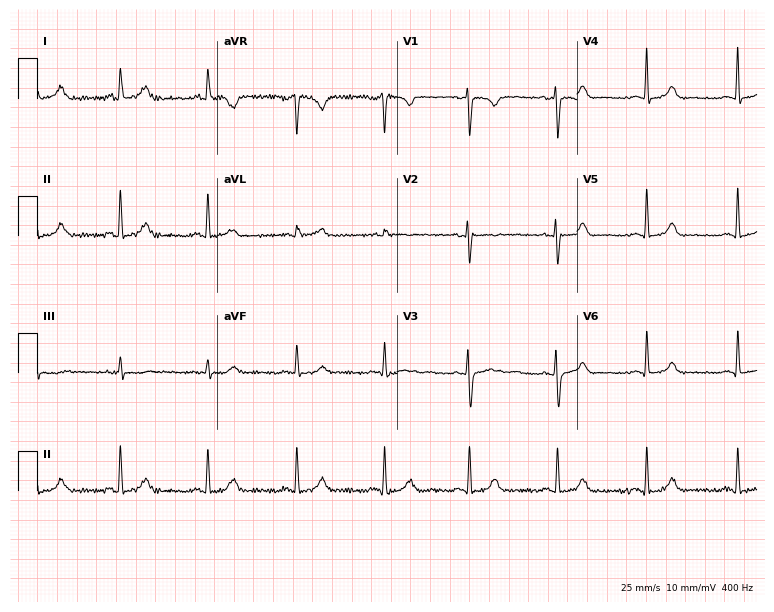
Resting 12-lead electrocardiogram (7.3-second recording at 400 Hz). Patient: a 31-year-old woman. Read as a normal ECG.